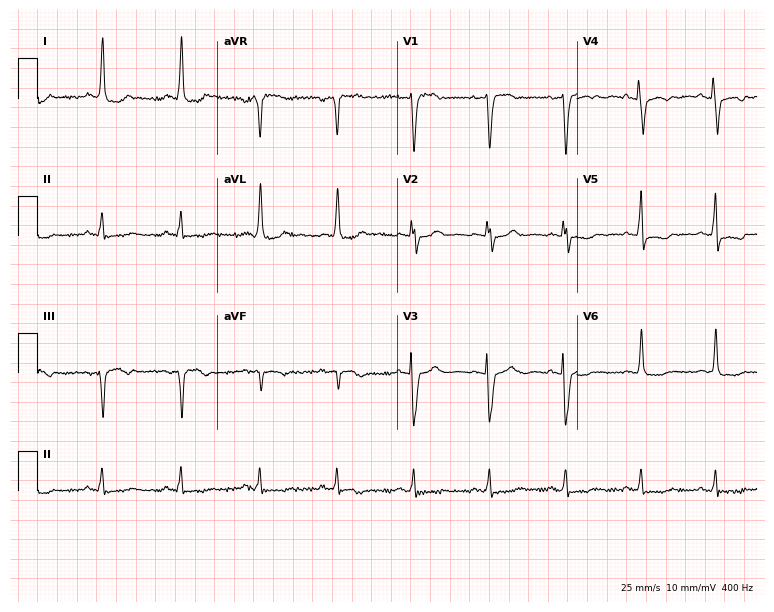
12-lead ECG (7.3-second recording at 400 Hz) from a 68-year-old woman. Screened for six findings — first-degree AV block, right bundle branch block, left bundle branch block, sinus bradycardia, atrial fibrillation, sinus tachycardia — none is recorded. Only these six findings were labelled.